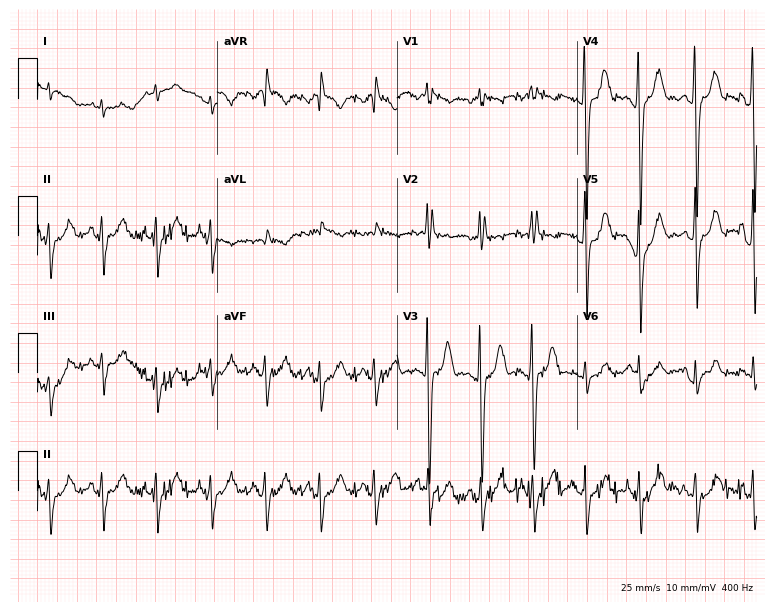
12-lead ECG (7.3-second recording at 400 Hz) from a 22-year-old male patient. Screened for six findings — first-degree AV block, right bundle branch block, left bundle branch block, sinus bradycardia, atrial fibrillation, sinus tachycardia — none is recorded. Only these six findings were labelled.